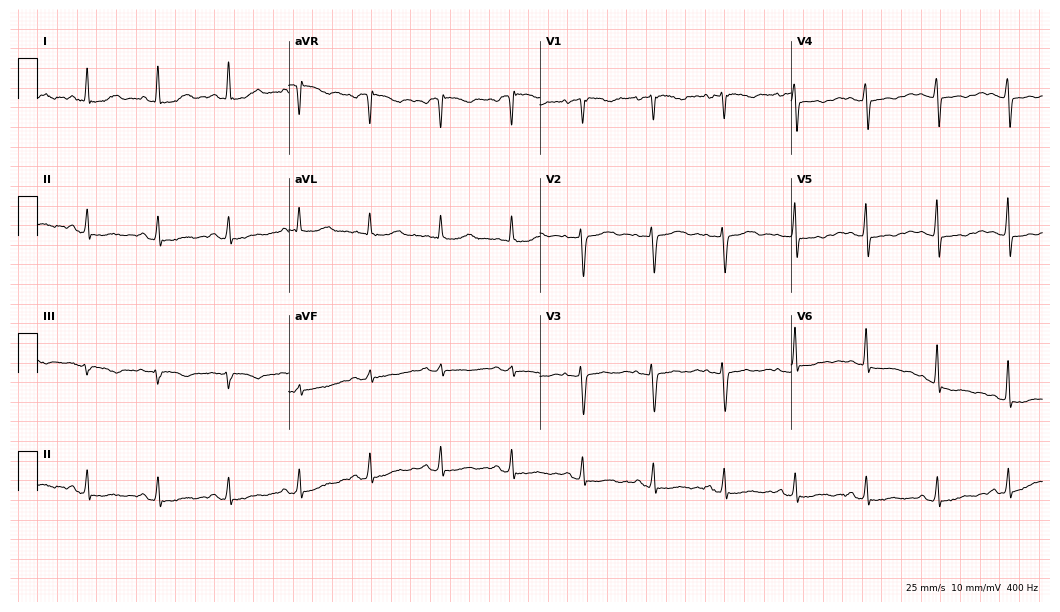
Resting 12-lead electrocardiogram (10.2-second recording at 400 Hz). Patient: a female, 68 years old. None of these six findings is recorded: first-degree AV block, right bundle branch block (RBBB), left bundle branch block (LBBB), sinus bradycardia, atrial fibrillation (AF), sinus tachycardia. Other findings, if any, are not listed.